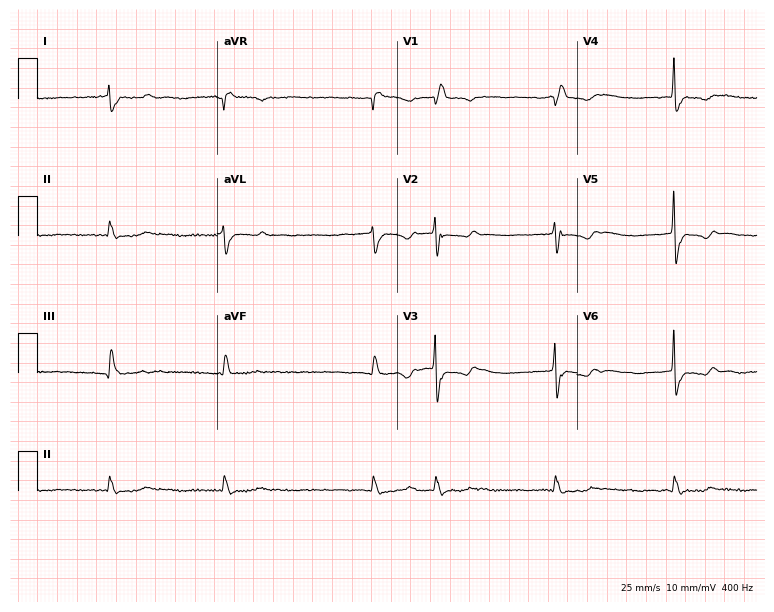
12-lead ECG from a 67-year-old woman (7.3-second recording at 400 Hz). Shows right bundle branch block, atrial fibrillation.